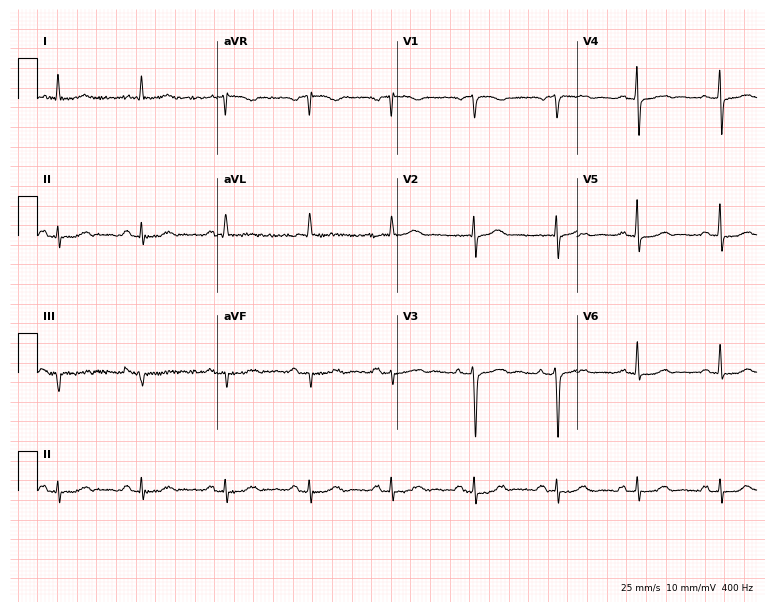
ECG (7.3-second recording at 400 Hz) — a 72-year-old female patient. Labelled as a normal ECG.